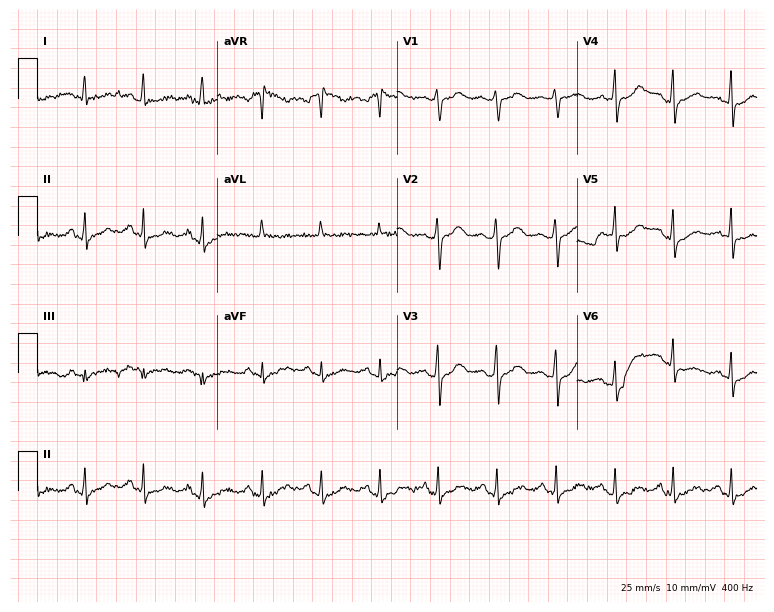
12-lead ECG from a 58-year-old woman. Shows sinus tachycardia (a sinus rate of 100 beats per minute or more).